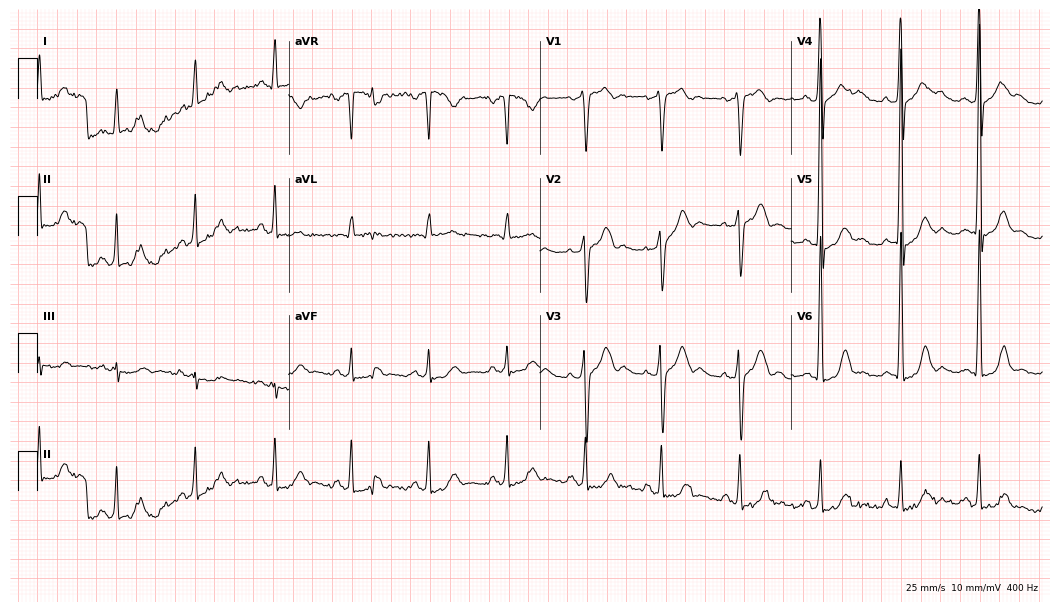
Standard 12-lead ECG recorded from a male, 46 years old. None of these six findings is recorded: first-degree AV block, right bundle branch block, left bundle branch block, sinus bradycardia, atrial fibrillation, sinus tachycardia.